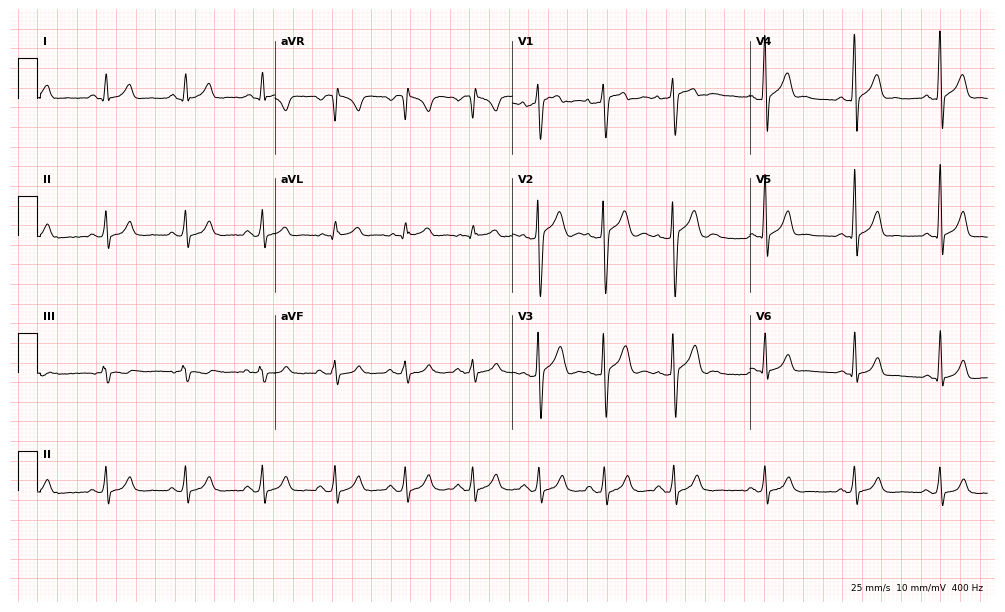
Resting 12-lead electrocardiogram. Patient: a male, 25 years old. Read as a normal ECG.